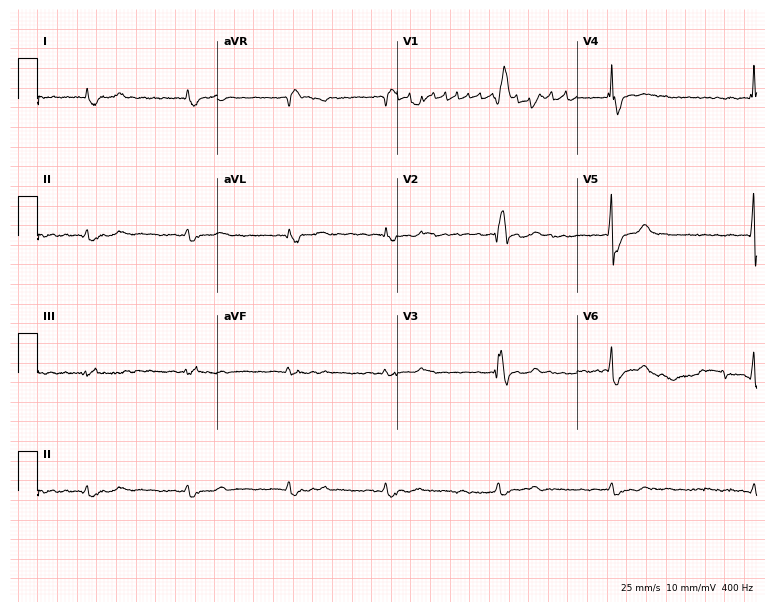
12-lead ECG from a male patient, 60 years old (7.3-second recording at 400 Hz). Shows right bundle branch block, atrial fibrillation.